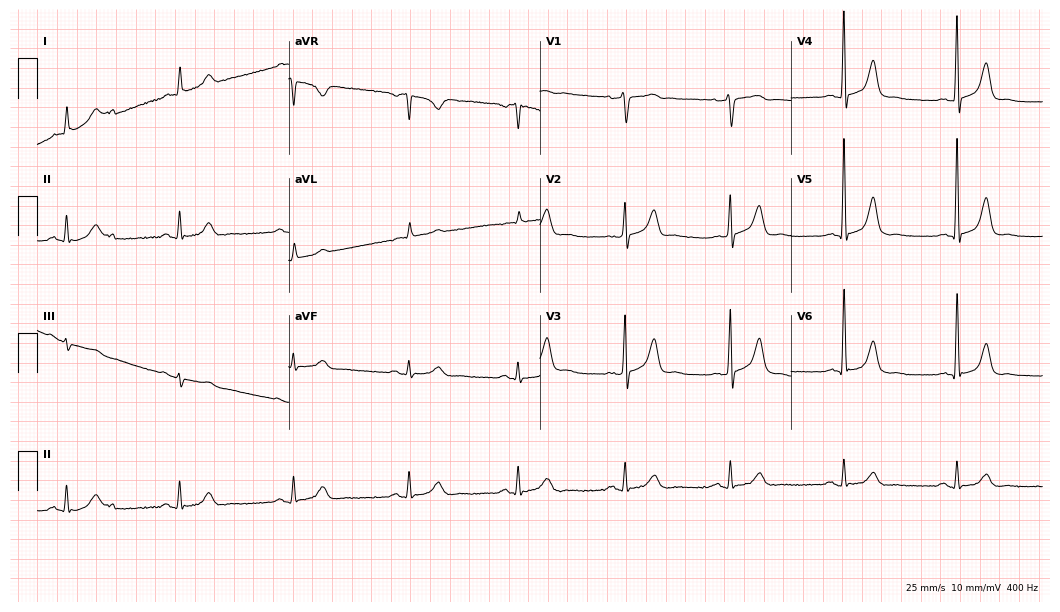
Resting 12-lead electrocardiogram (10.2-second recording at 400 Hz). Patient: a 69-year-old female. Read as a normal ECG.